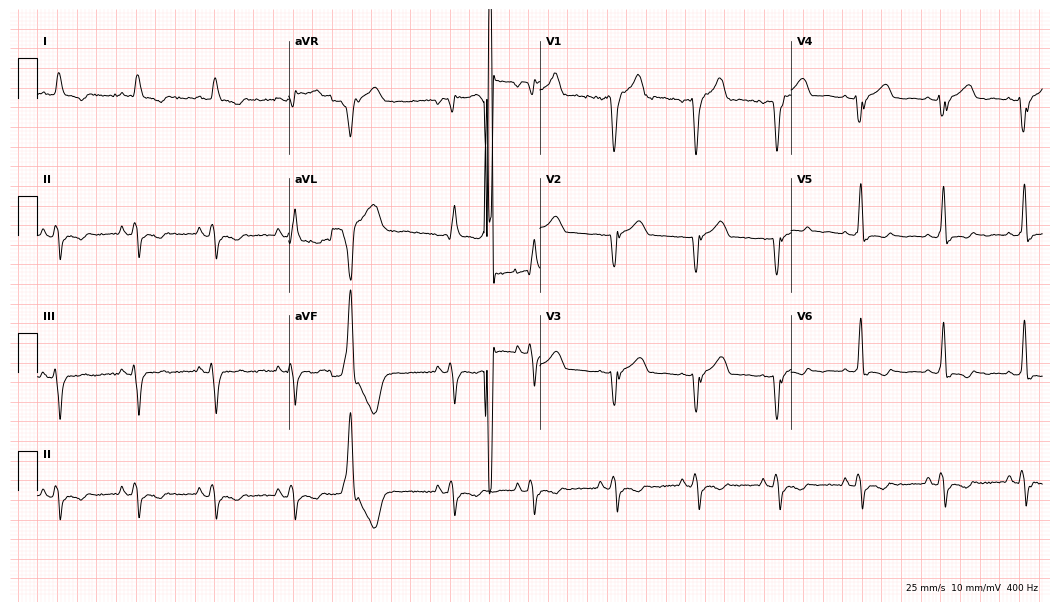
Resting 12-lead electrocardiogram. Patient: a male, 75 years old. None of these six findings is recorded: first-degree AV block, right bundle branch block (RBBB), left bundle branch block (LBBB), sinus bradycardia, atrial fibrillation (AF), sinus tachycardia.